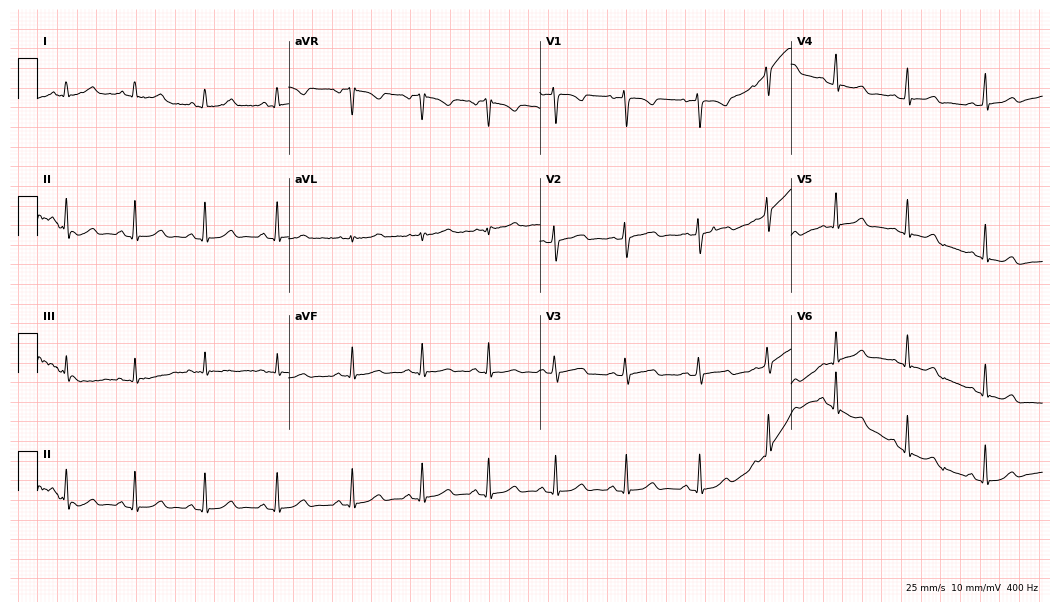
Resting 12-lead electrocardiogram. Patient: a 17-year-old woman. Read as a normal ECG.